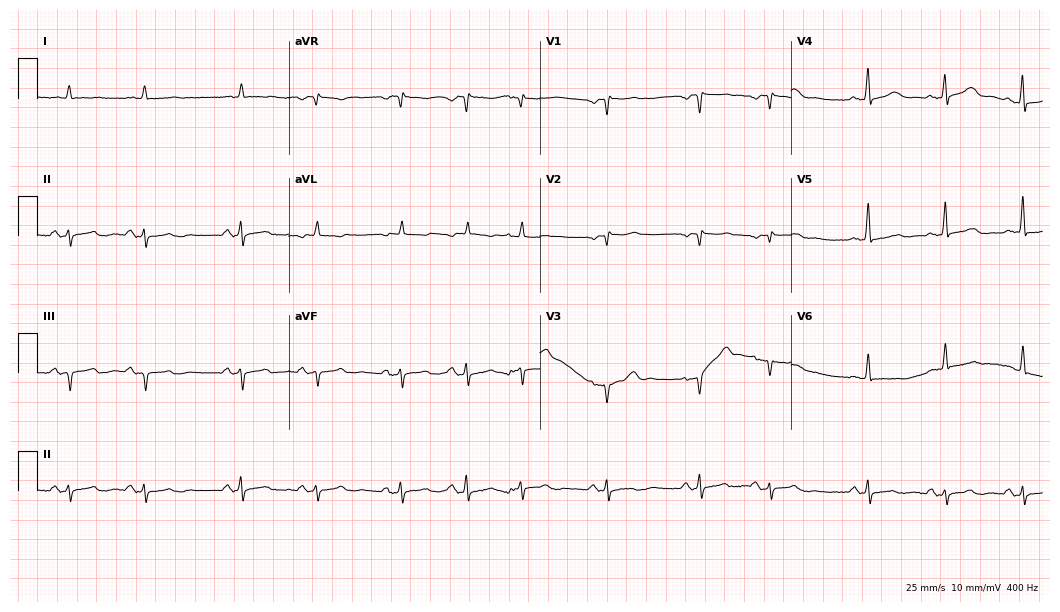
Standard 12-lead ECG recorded from a man, 81 years old (10.2-second recording at 400 Hz). None of these six findings is recorded: first-degree AV block, right bundle branch block (RBBB), left bundle branch block (LBBB), sinus bradycardia, atrial fibrillation (AF), sinus tachycardia.